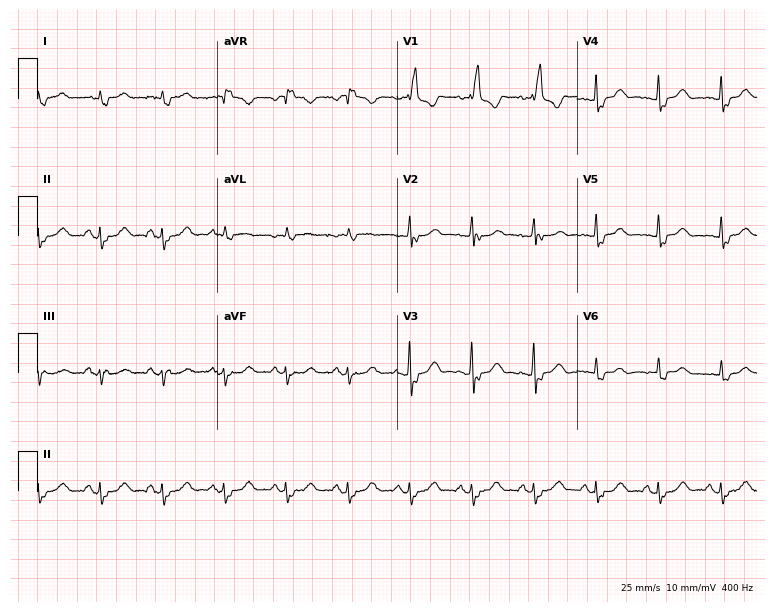
12-lead ECG from an 85-year-old male (7.3-second recording at 400 Hz). Shows right bundle branch block.